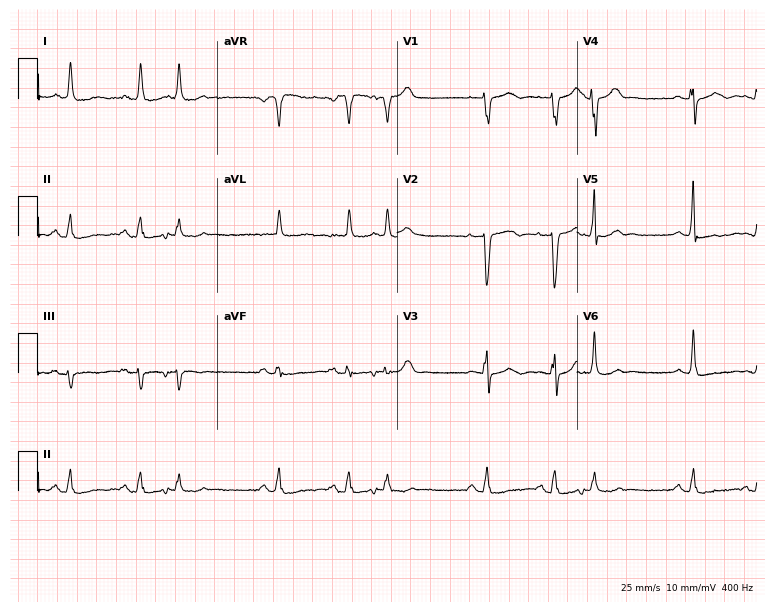
ECG (7.3-second recording at 400 Hz) — a female, 83 years old. Screened for six findings — first-degree AV block, right bundle branch block, left bundle branch block, sinus bradycardia, atrial fibrillation, sinus tachycardia — none is recorded.